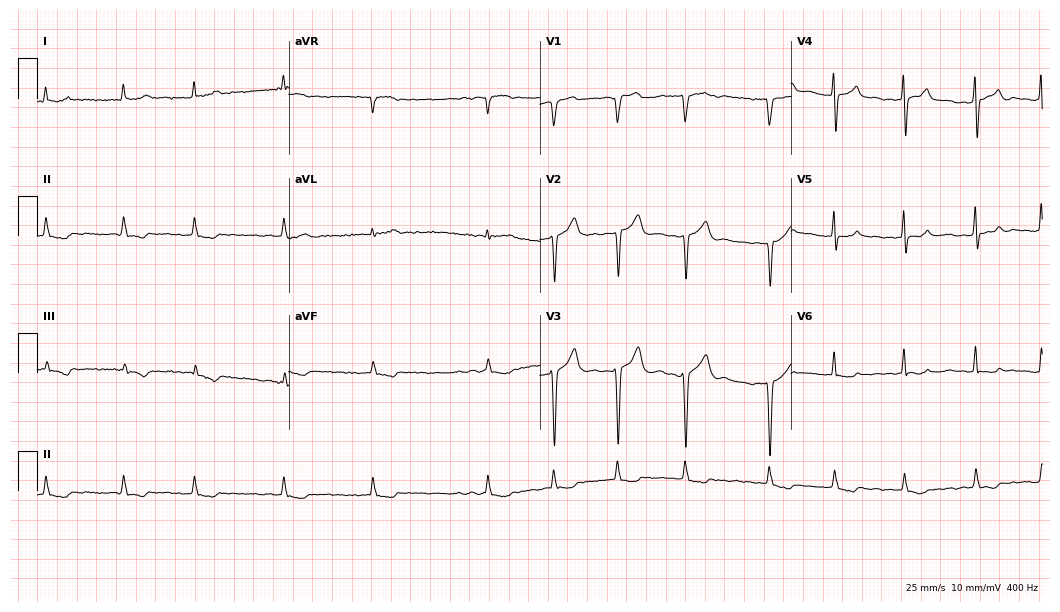
Electrocardiogram (10.2-second recording at 400 Hz), a 71-year-old man. Interpretation includes atrial fibrillation.